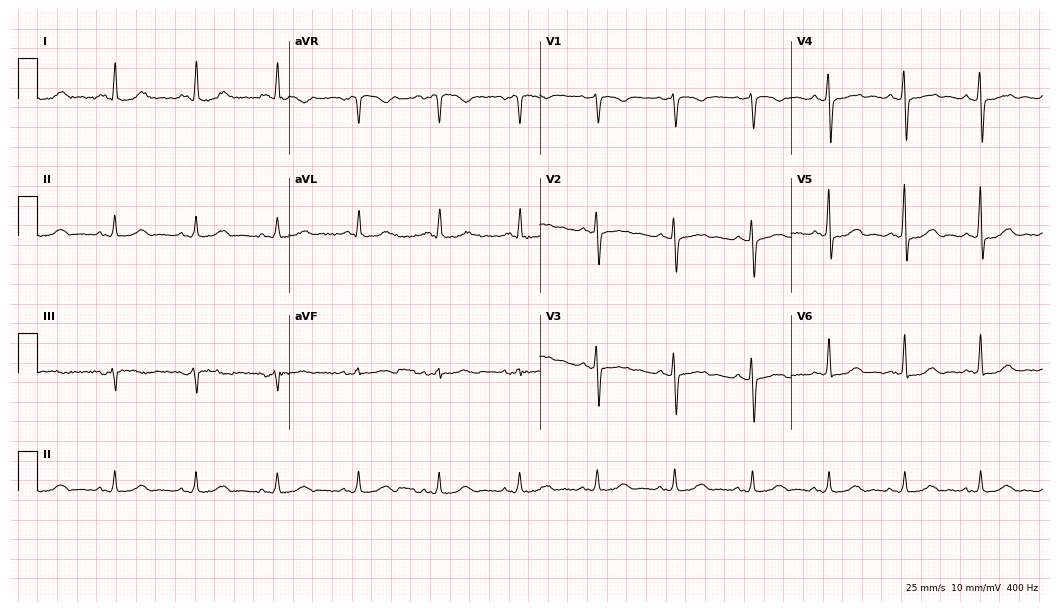
12-lead ECG from a female, 46 years old (10.2-second recording at 400 Hz). No first-degree AV block, right bundle branch block (RBBB), left bundle branch block (LBBB), sinus bradycardia, atrial fibrillation (AF) or sinus tachycardia recorded for this tracing. Findings outside these six are not listed.